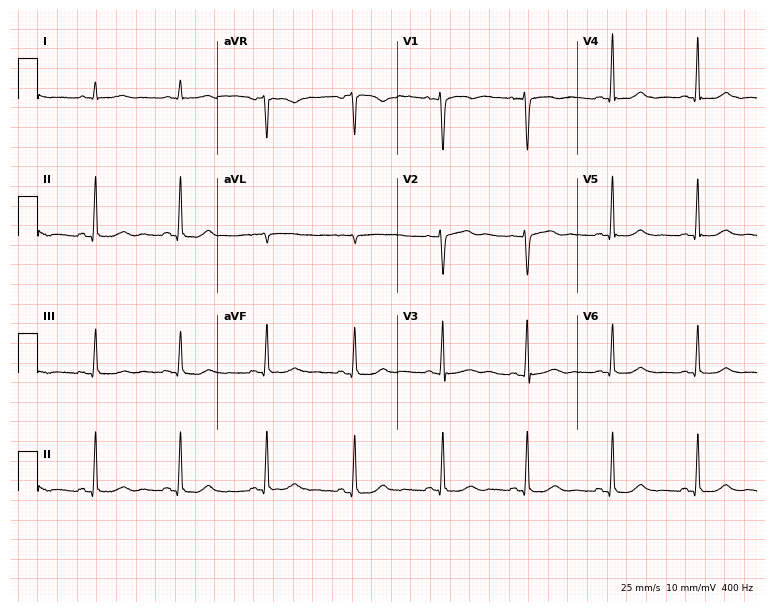
Standard 12-lead ECG recorded from a woman, 70 years old. None of these six findings is recorded: first-degree AV block, right bundle branch block (RBBB), left bundle branch block (LBBB), sinus bradycardia, atrial fibrillation (AF), sinus tachycardia. Findings outside these six are not listed.